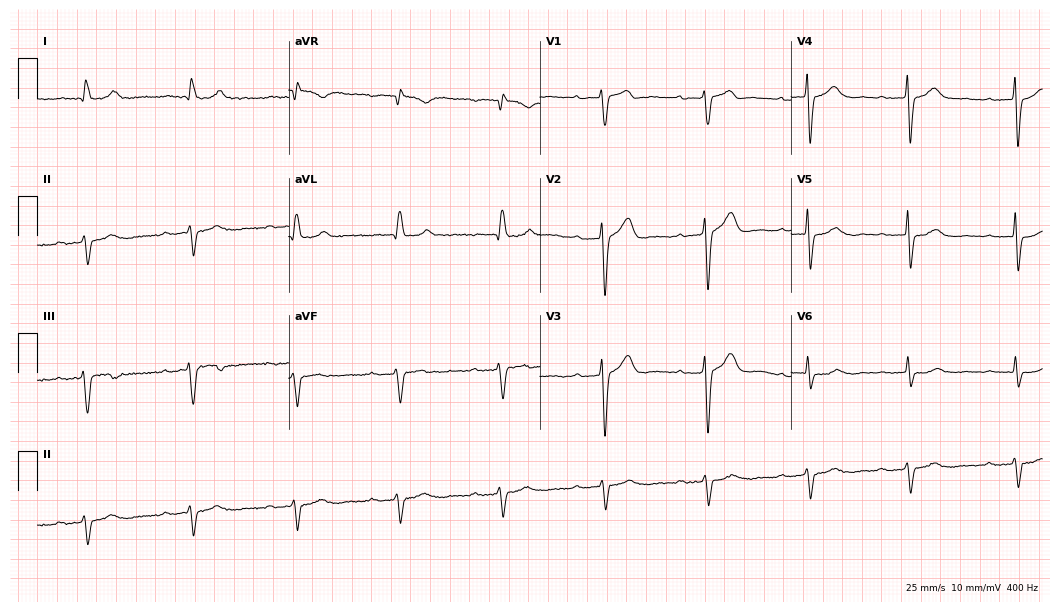
12-lead ECG from a 68-year-old man (10.2-second recording at 400 Hz). Shows first-degree AV block.